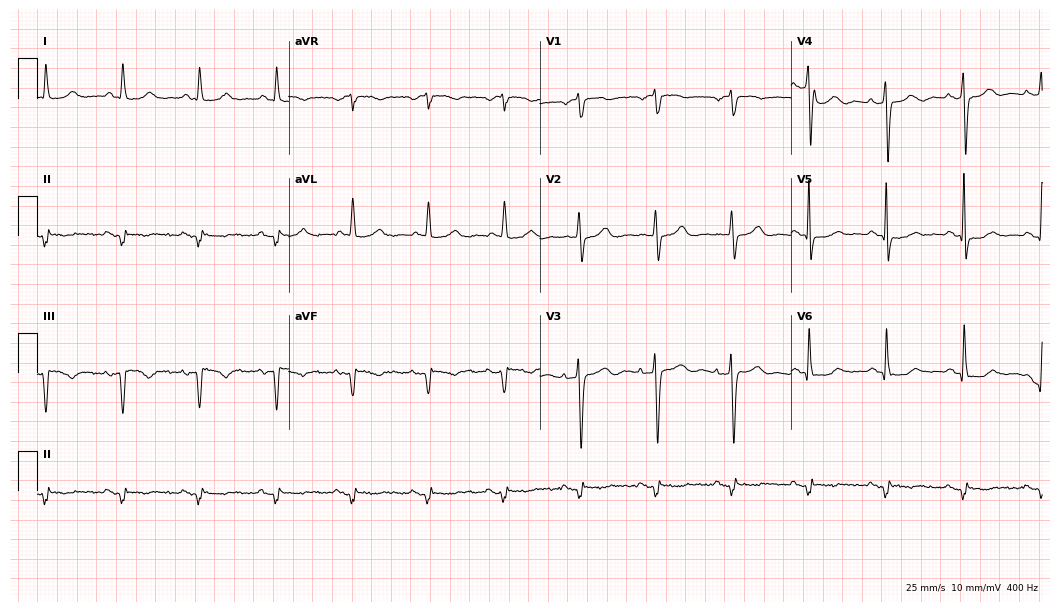
12-lead ECG (10.2-second recording at 400 Hz) from a 77-year-old man. Screened for six findings — first-degree AV block, right bundle branch block, left bundle branch block, sinus bradycardia, atrial fibrillation, sinus tachycardia — none is recorded. Findings outside these six are not listed.